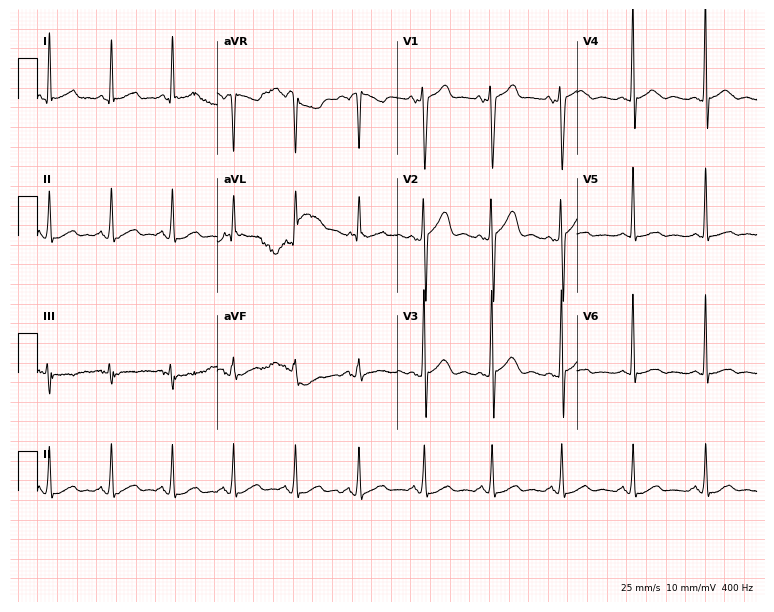
Resting 12-lead electrocardiogram. Patient: a male, 46 years old. Read as a normal ECG.